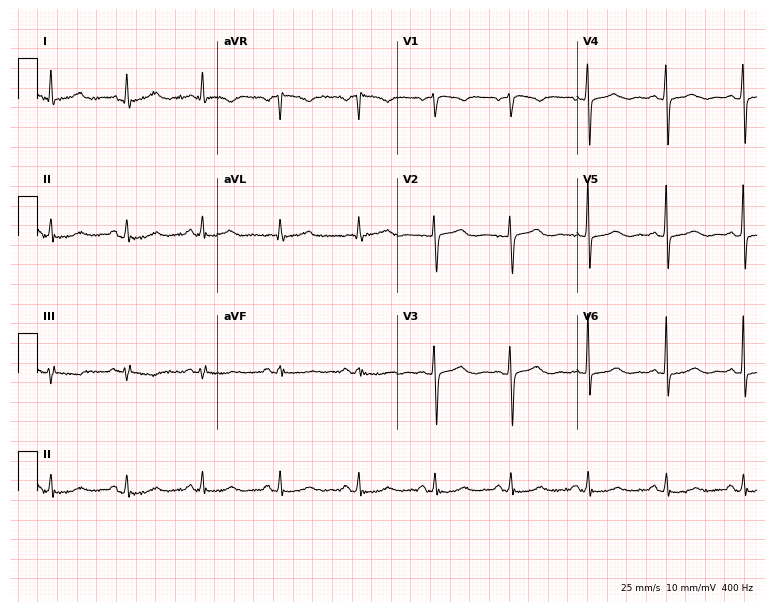
12-lead ECG from a 74-year-old female. No first-degree AV block, right bundle branch block, left bundle branch block, sinus bradycardia, atrial fibrillation or sinus tachycardia recorded for this tracing. Findings outside these six are not listed.